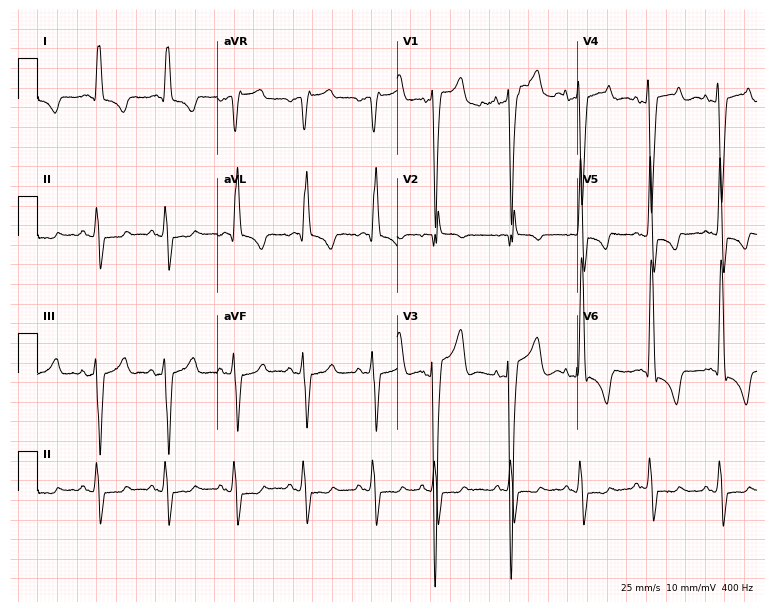
Standard 12-lead ECG recorded from a male patient, 76 years old. None of these six findings is recorded: first-degree AV block, right bundle branch block (RBBB), left bundle branch block (LBBB), sinus bradycardia, atrial fibrillation (AF), sinus tachycardia.